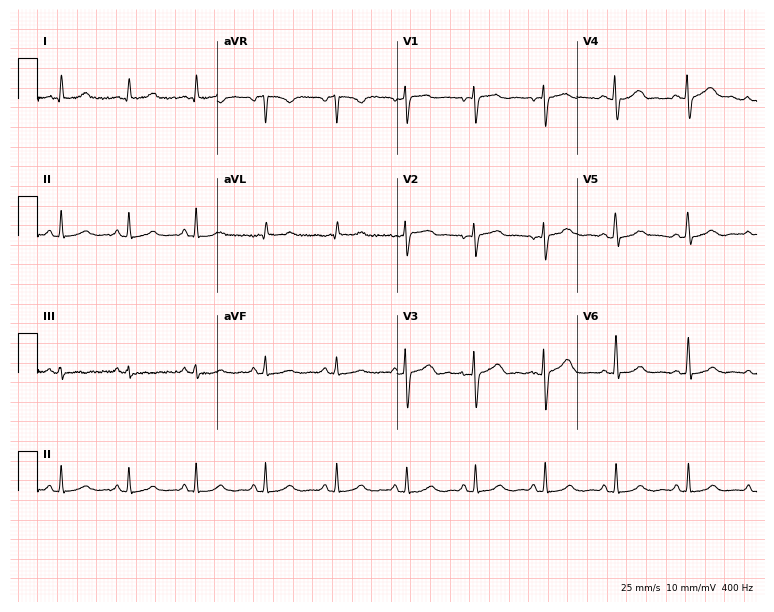
12-lead ECG from a female patient, 53 years old. Screened for six findings — first-degree AV block, right bundle branch block, left bundle branch block, sinus bradycardia, atrial fibrillation, sinus tachycardia — none is recorded. Findings outside these six are not listed.